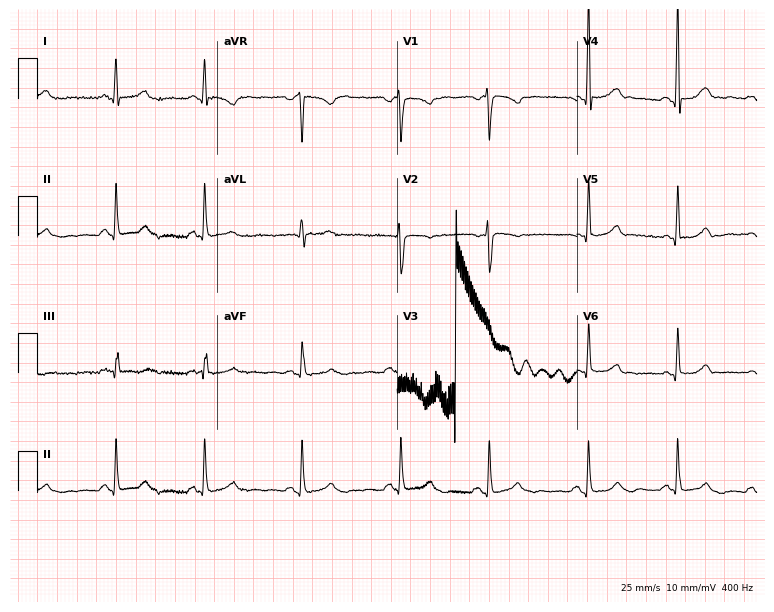
Electrocardiogram (7.3-second recording at 400 Hz), a 42-year-old woman. Of the six screened findings (first-degree AV block, right bundle branch block, left bundle branch block, sinus bradycardia, atrial fibrillation, sinus tachycardia), none is recorded. Other findings, if any, are not listed.